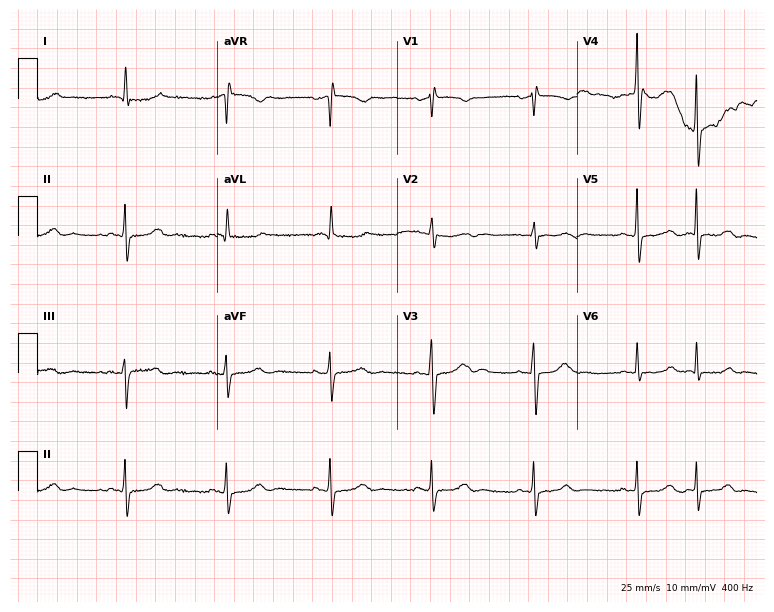
12-lead ECG (7.3-second recording at 400 Hz) from a 78-year-old female. Screened for six findings — first-degree AV block, right bundle branch block, left bundle branch block, sinus bradycardia, atrial fibrillation, sinus tachycardia — none is recorded.